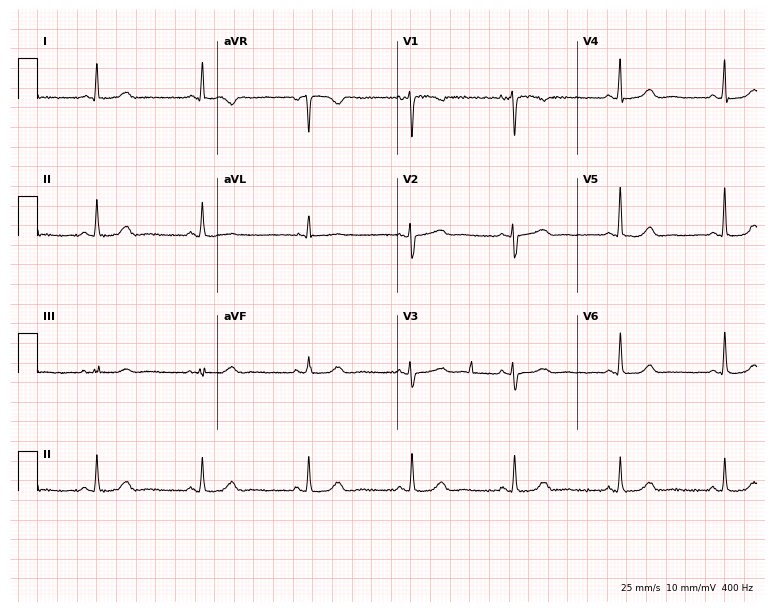
Standard 12-lead ECG recorded from a female patient, 71 years old (7.3-second recording at 400 Hz). Read as a normal ECG.